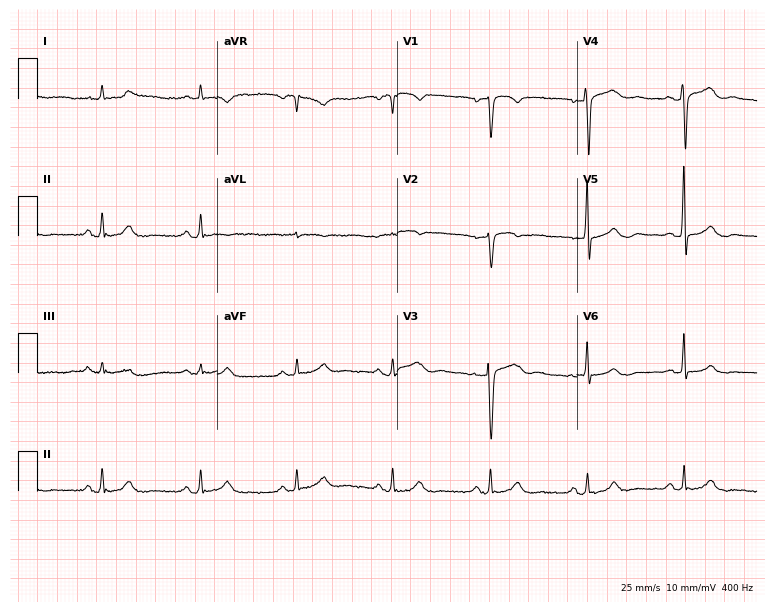
ECG (7.3-second recording at 400 Hz) — a male, 78 years old. Labelled as a normal ECG.